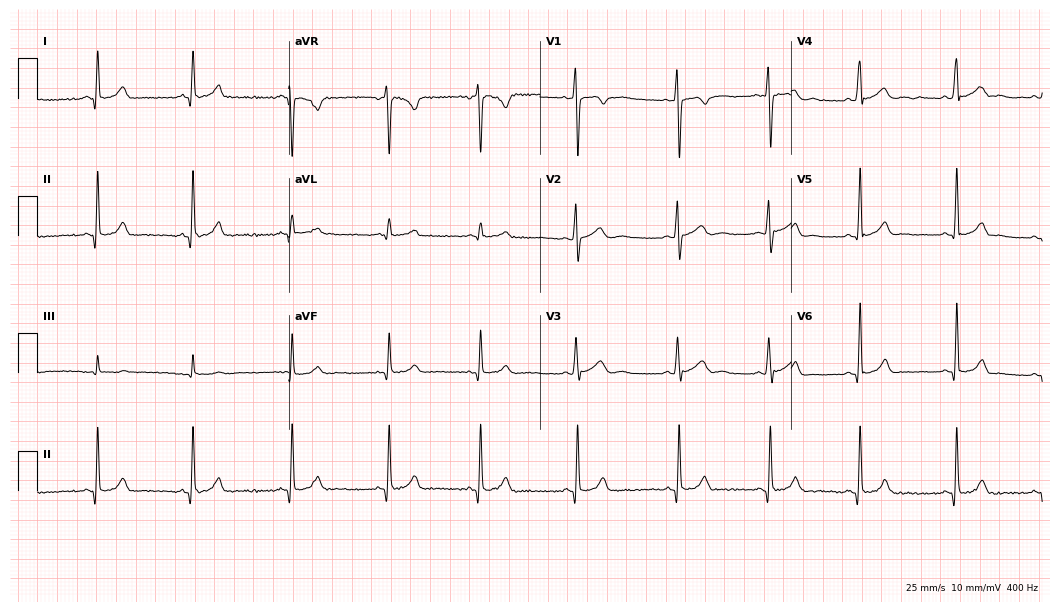
12-lead ECG (10.2-second recording at 400 Hz) from a woman, 19 years old. Labelled as a normal ECG.